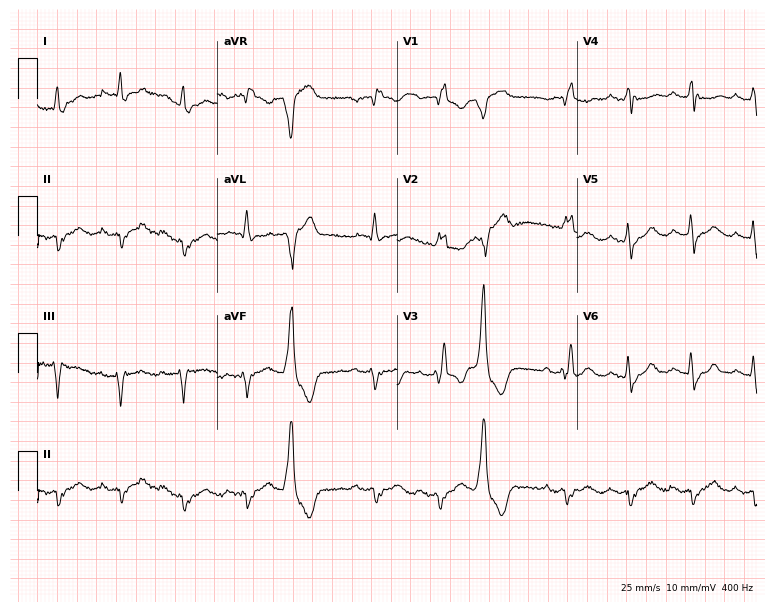
Resting 12-lead electrocardiogram. Patient: a female, 80 years old. The tracing shows right bundle branch block.